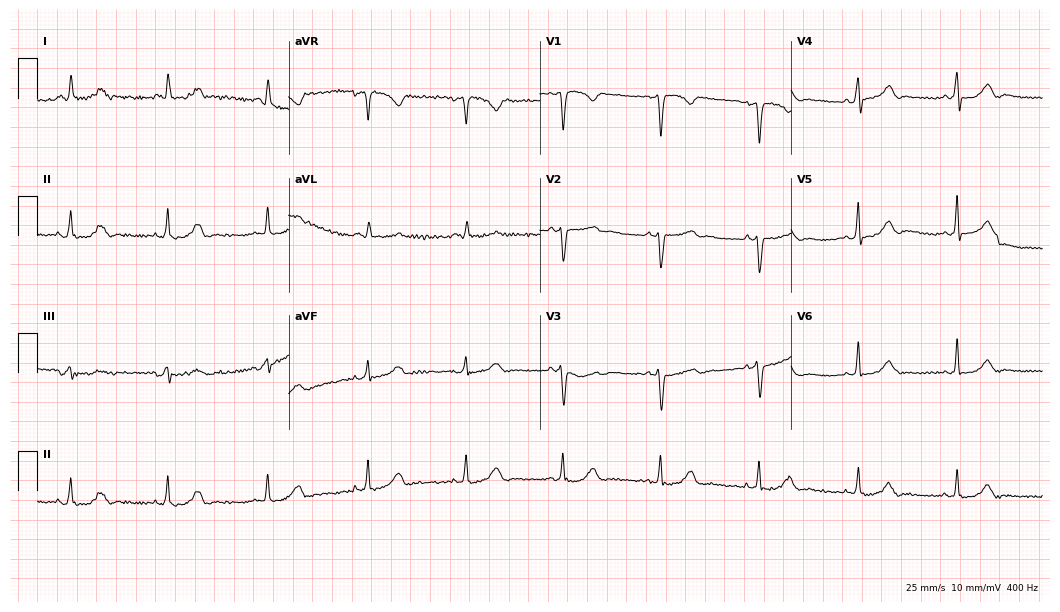
Resting 12-lead electrocardiogram. Patient: a female, 45 years old. Read as a normal ECG.